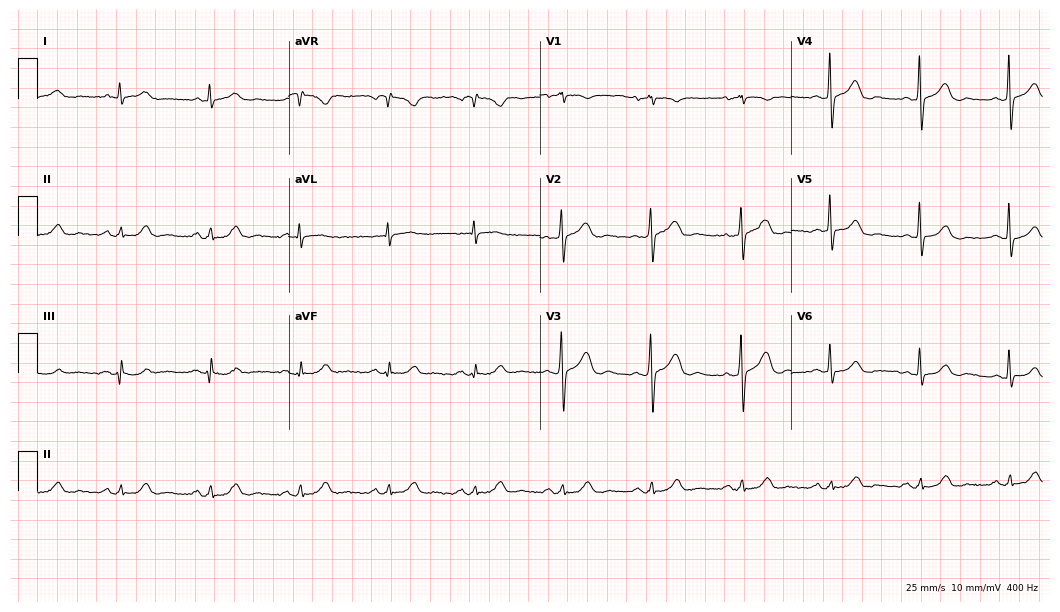
12-lead ECG from a 54-year-old woman. Screened for six findings — first-degree AV block, right bundle branch block (RBBB), left bundle branch block (LBBB), sinus bradycardia, atrial fibrillation (AF), sinus tachycardia — none is recorded. Findings outside these six are not listed.